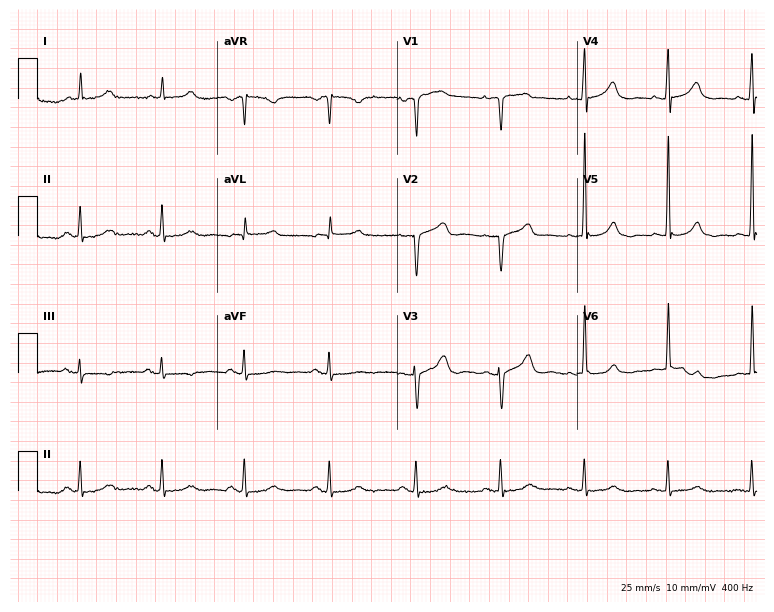
Standard 12-lead ECG recorded from a 74-year-old woman (7.3-second recording at 400 Hz). None of these six findings is recorded: first-degree AV block, right bundle branch block, left bundle branch block, sinus bradycardia, atrial fibrillation, sinus tachycardia.